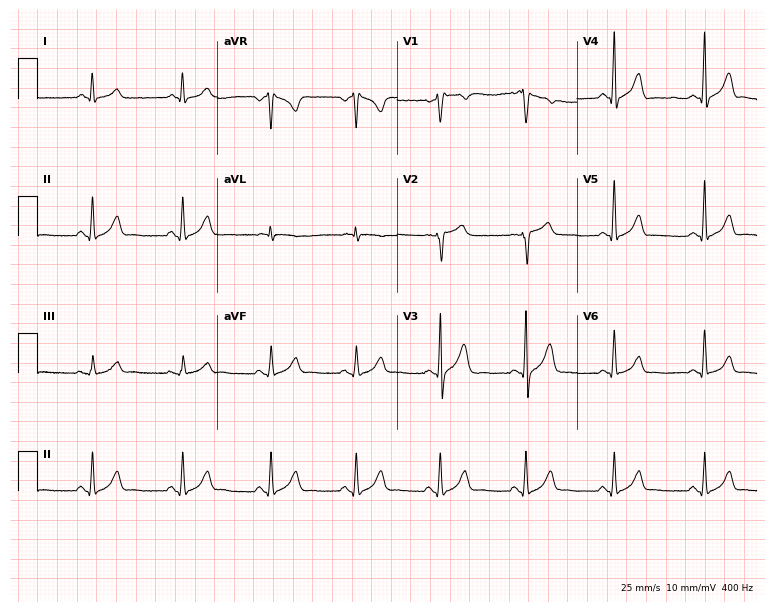
Electrocardiogram, a 52-year-old male. Of the six screened findings (first-degree AV block, right bundle branch block (RBBB), left bundle branch block (LBBB), sinus bradycardia, atrial fibrillation (AF), sinus tachycardia), none is recorded.